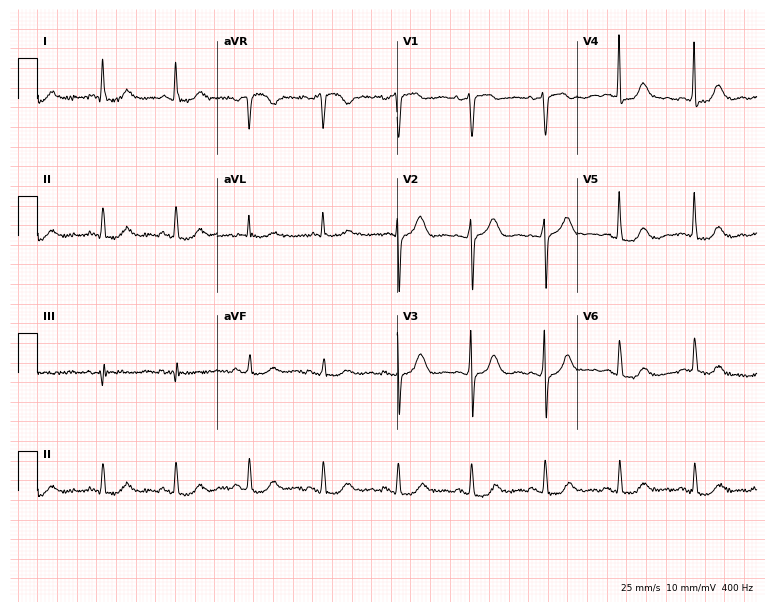
Standard 12-lead ECG recorded from an 80-year-old female patient. None of these six findings is recorded: first-degree AV block, right bundle branch block, left bundle branch block, sinus bradycardia, atrial fibrillation, sinus tachycardia. Only these six findings were labelled.